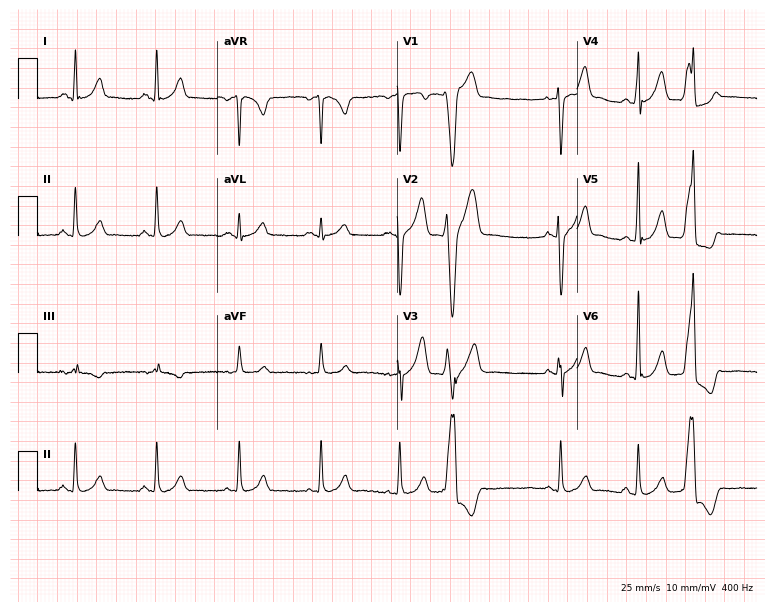
12-lead ECG from a male, 28 years old. No first-degree AV block, right bundle branch block, left bundle branch block, sinus bradycardia, atrial fibrillation or sinus tachycardia recorded for this tracing.